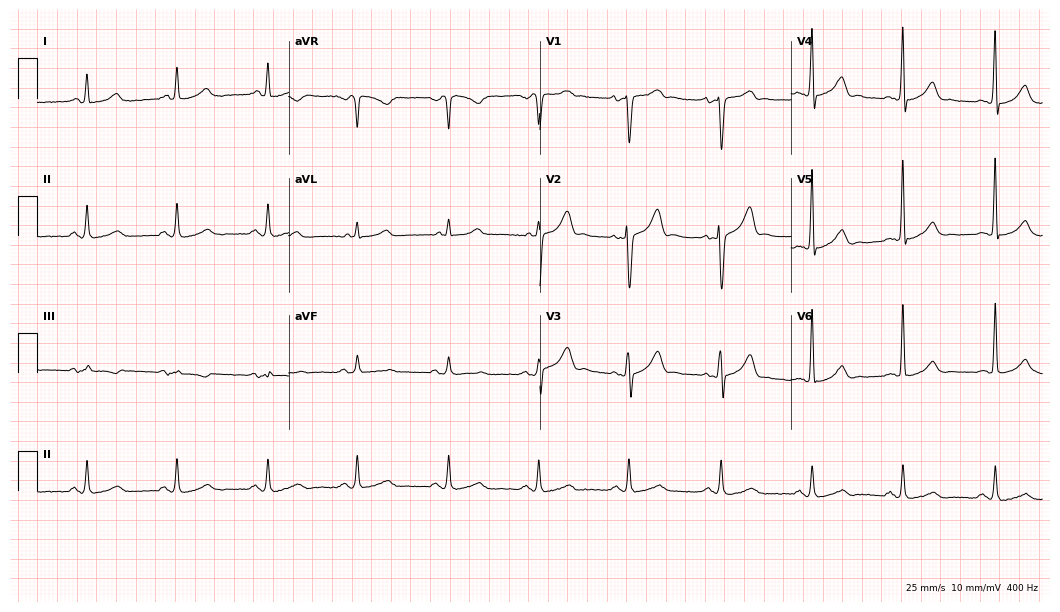
Standard 12-lead ECG recorded from a 51-year-old male. Read as a normal ECG.